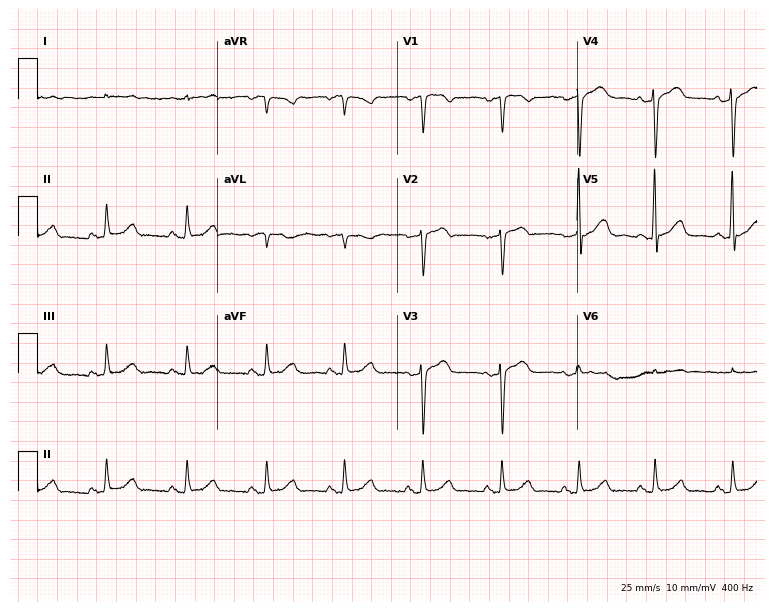
ECG — a female, 74 years old. Screened for six findings — first-degree AV block, right bundle branch block, left bundle branch block, sinus bradycardia, atrial fibrillation, sinus tachycardia — none is recorded. Other findings, if any, are not listed.